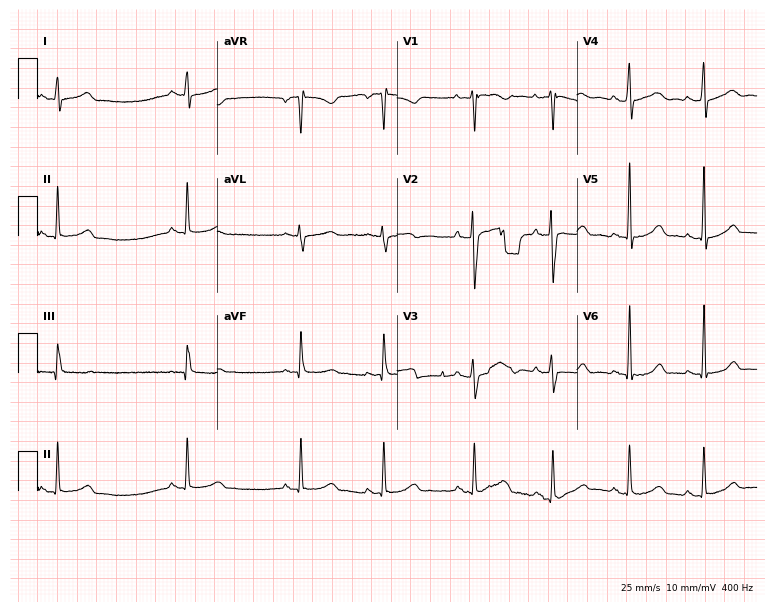
Resting 12-lead electrocardiogram. Patient: a 37-year-old woman. Read as a normal ECG.